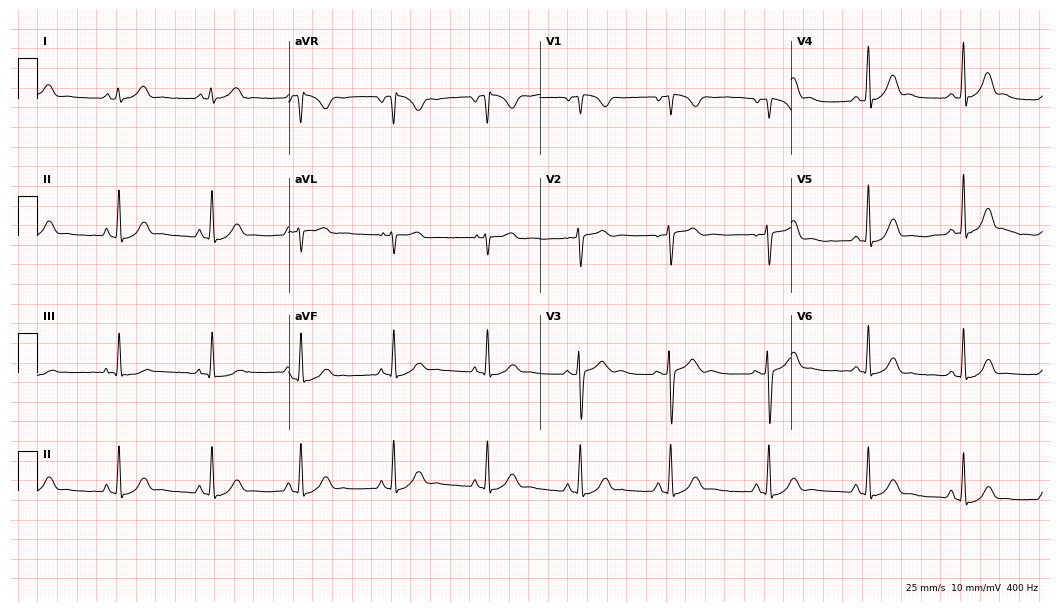
Resting 12-lead electrocardiogram. Patient: a 28-year-old female. Read as a normal ECG.